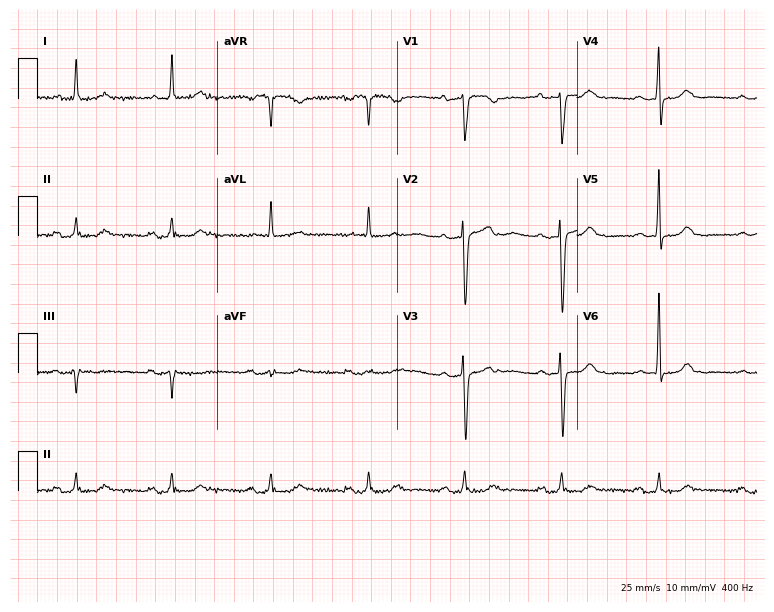
ECG — a female, 74 years old. Findings include first-degree AV block.